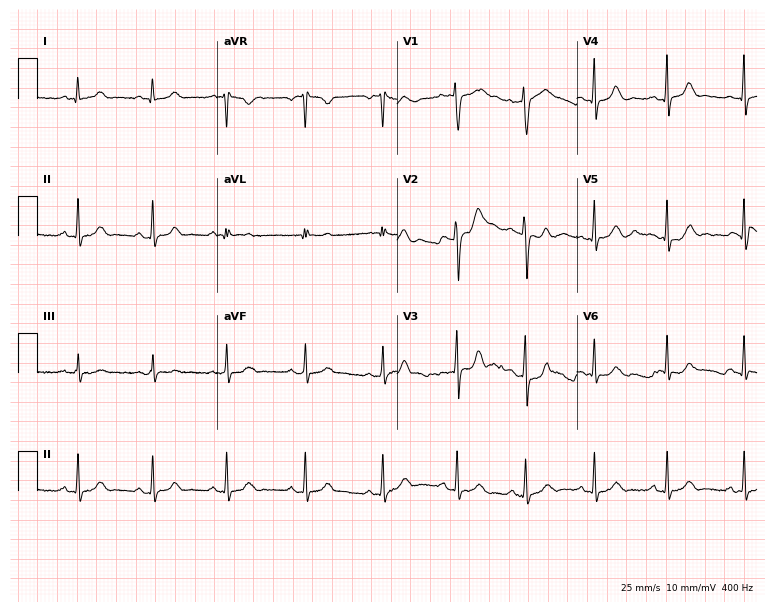
12-lead ECG from a 21-year-old female. Labelled as a normal ECG.